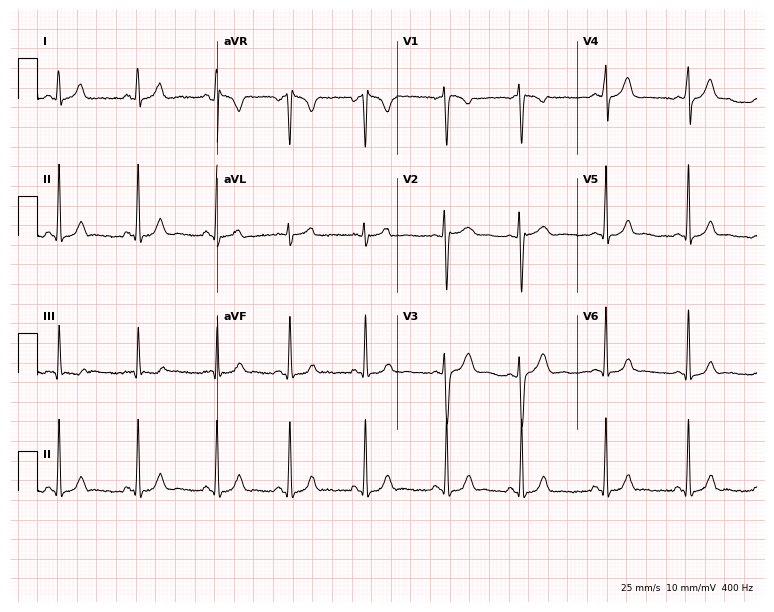
Electrocardiogram (7.3-second recording at 400 Hz), a female, 17 years old. Overall reading on record: normal ECG.